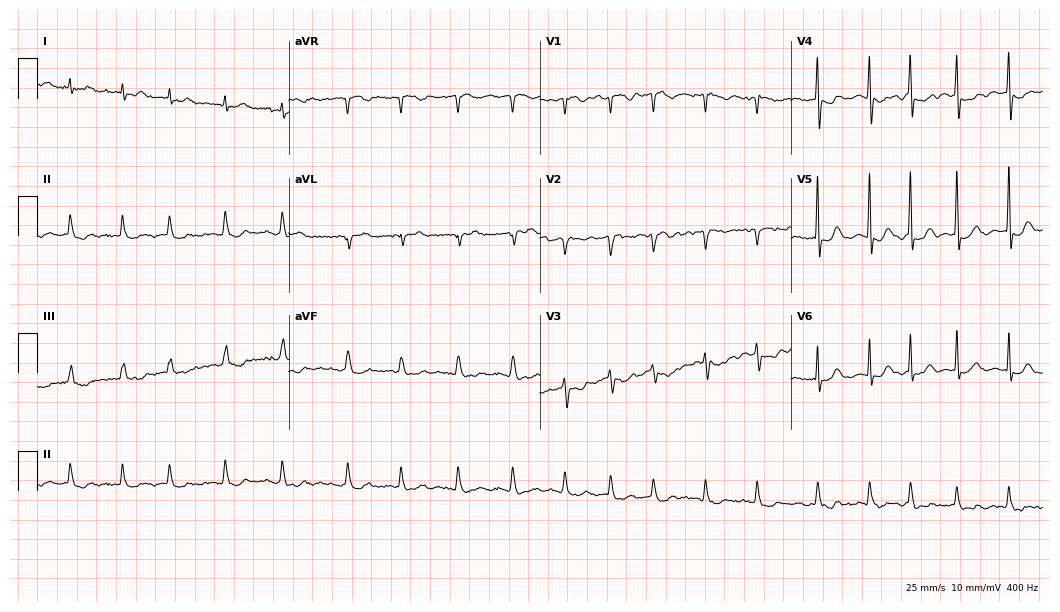
Resting 12-lead electrocardiogram. Patient: a woman, 84 years old. The tracing shows atrial fibrillation.